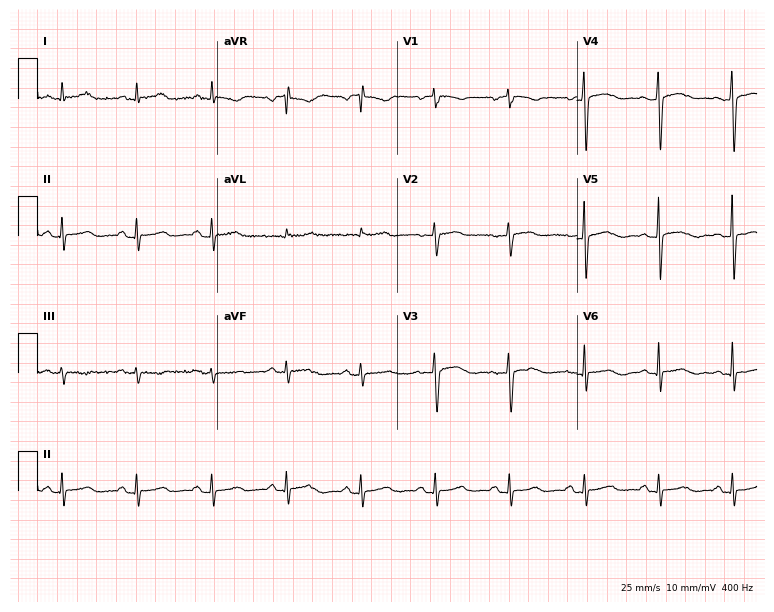
12-lead ECG (7.3-second recording at 400 Hz) from a 48-year-old female patient. Screened for six findings — first-degree AV block, right bundle branch block, left bundle branch block, sinus bradycardia, atrial fibrillation, sinus tachycardia — none is recorded. Other findings, if any, are not listed.